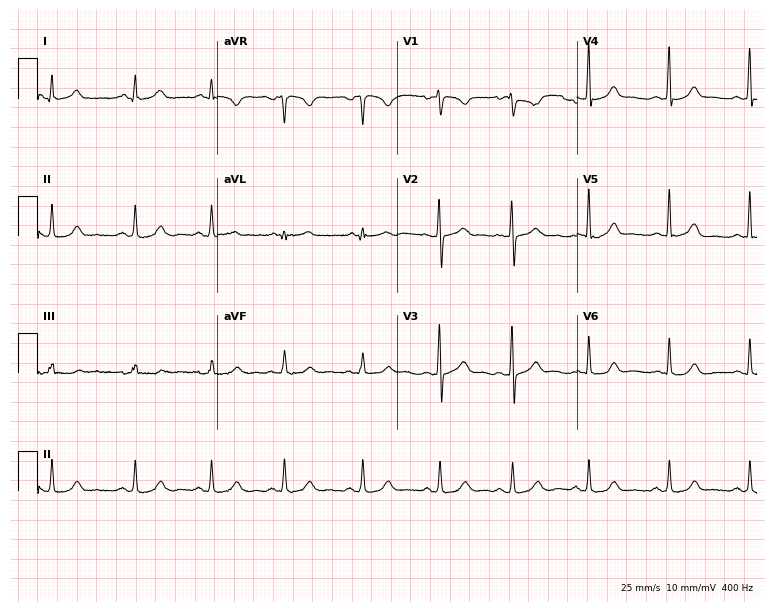
Resting 12-lead electrocardiogram (7.3-second recording at 400 Hz). Patient: a woman, 22 years old. None of these six findings is recorded: first-degree AV block, right bundle branch block, left bundle branch block, sinus bradycardia, atrial fibrillation, sinus tachycardia. Other findings, if any, are not listed.